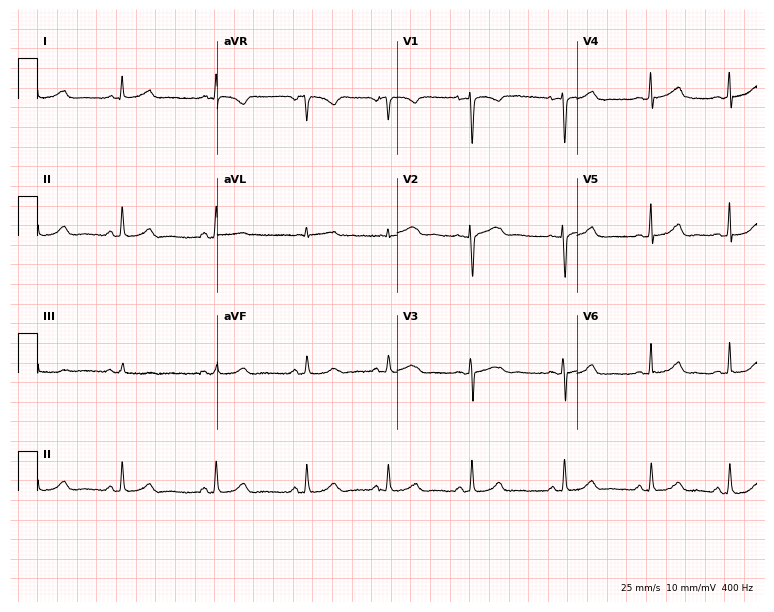
Electrocardiogram, a 20-year-old woman. Overall reading on record: normal ECG.